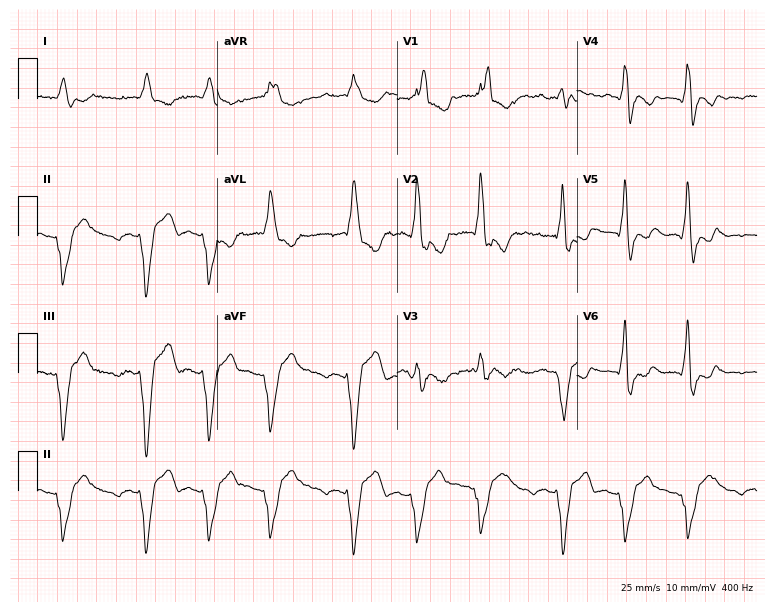
ECG — a 50-year-old male patient. Findings include right bundle branch block, atrial fibrillation.